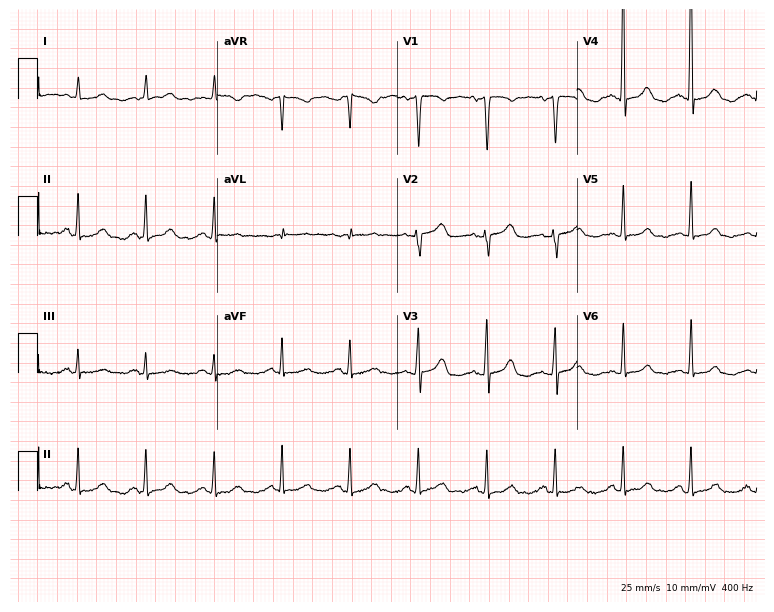
Resting 12-lead electrocardiogram. Patient: a 48-year-old female. None of these six findings is recorded: first-degree AV block, right bundle branch block, left bundle branch block, sinus bradycardia, atrial fibrillation, sinus tachycardia.